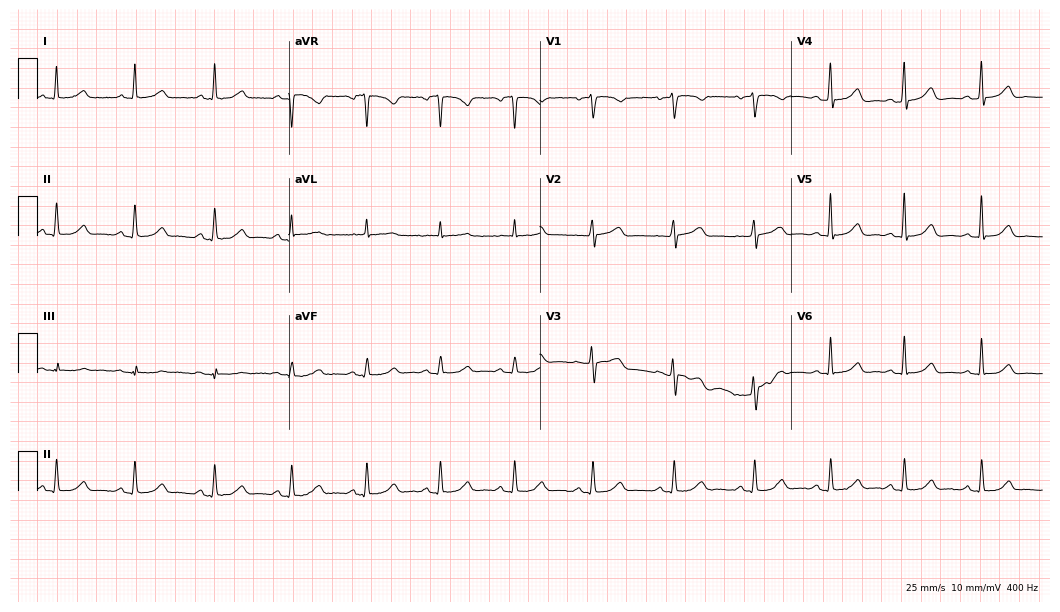
12-lead ECG from a woman, 53 years old. Labelled as a normal ECG.